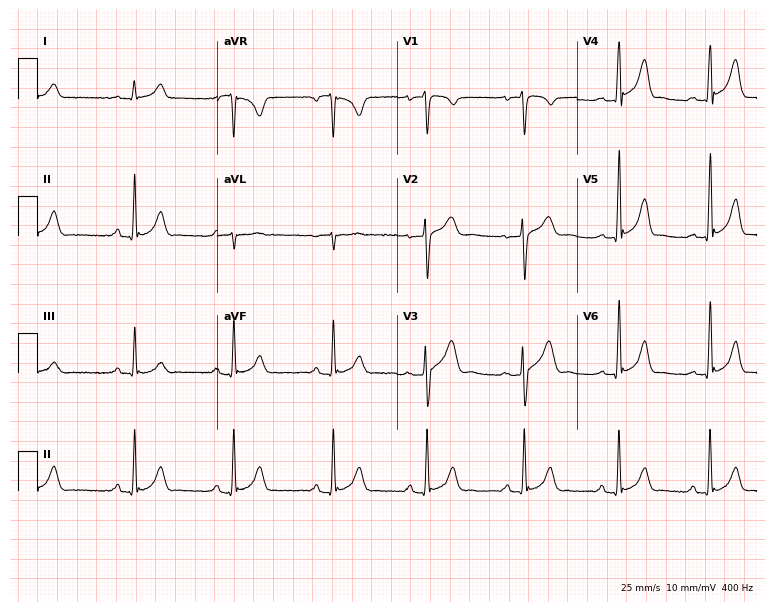
12-lead ECG (7.3-second recording at 400 Hz) from a male patient, 24 years old. Labelled as a normal ECG.